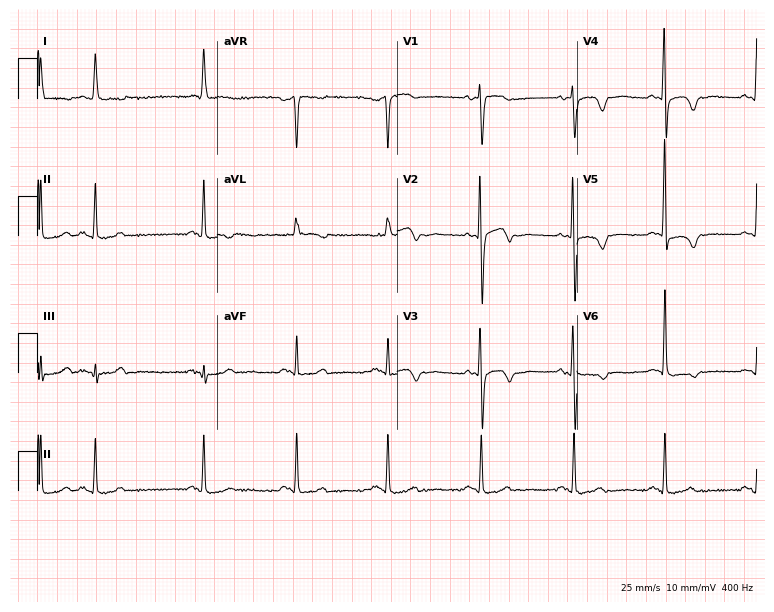
Electrocardiogram (7.3-second recording at 400 Hz), an 82-year-old female patient. Of the six screened findings (first-degree AV block, right bundle branch block (RBBB), left bundle branch block (LBBB), sinus bradycardia, atrial fibrillation (AF), sinus tachycardia), none is recorded.